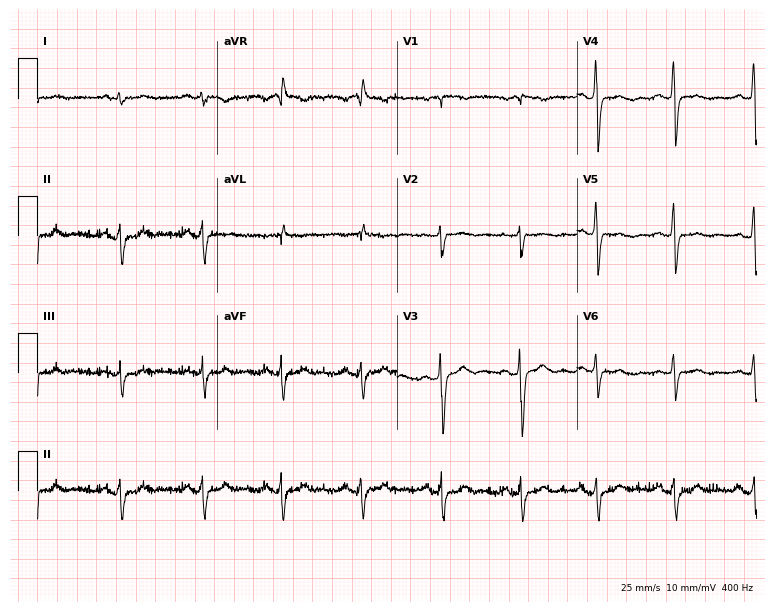
Standard 12-lead ECG recorded from a 45-year-old female patient (7.3-second recording at 400 Hz). None of these six findings is recorded: first-degree AV block, right bundle branch block (RBBB), left bundle branch block (LBBB), sinus bradycardia, atrial fibrillation (AF), sinus tachycardia.